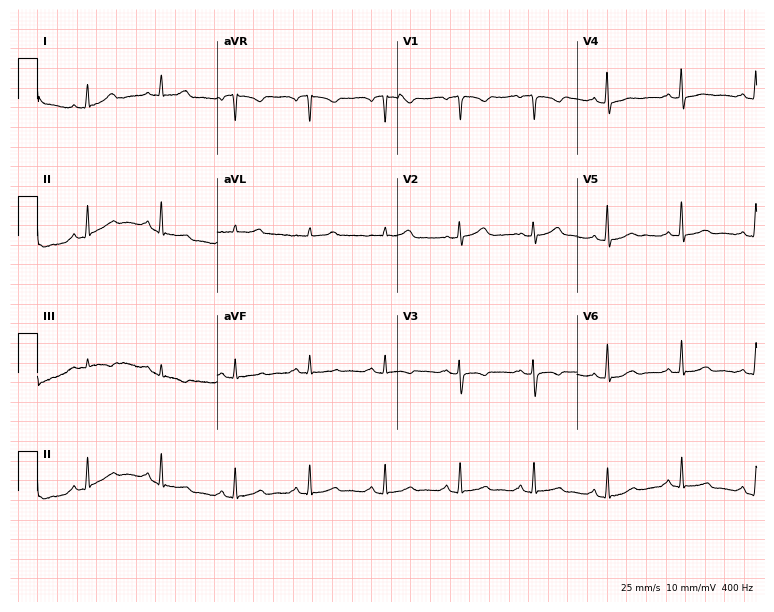
Standard 12-lead ECG recorded from a woman, 57 years old. Read as a normal ECG.